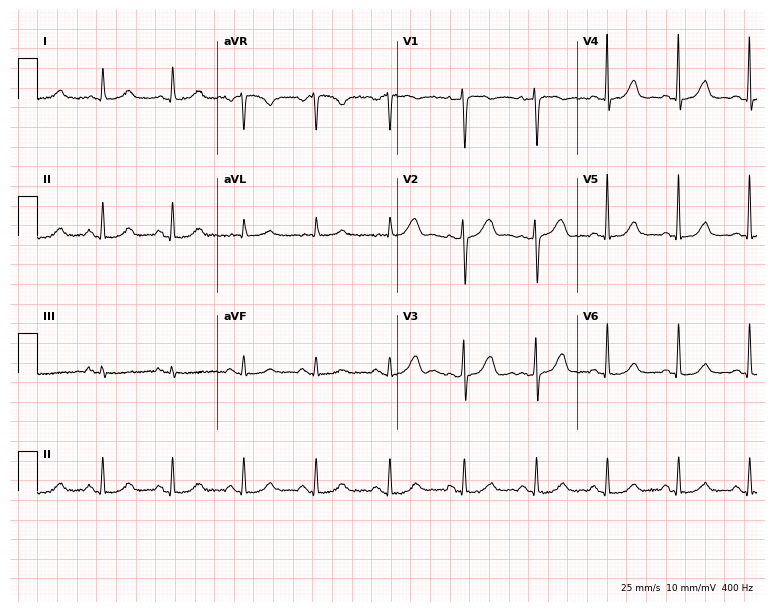
Standard 12-lead ECG recorded from a 37-year-old female. Read as a normal ECG.